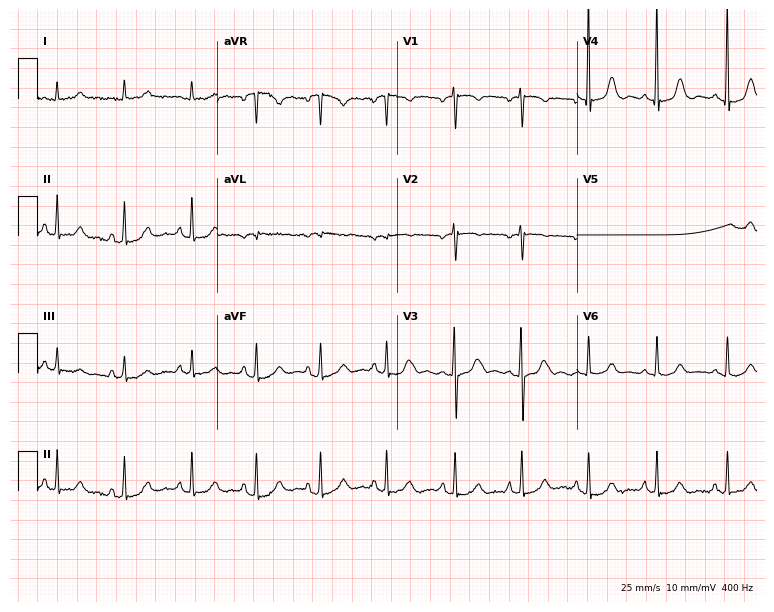
ECG — a female, 75 years old. Labelled as a normal ECG.